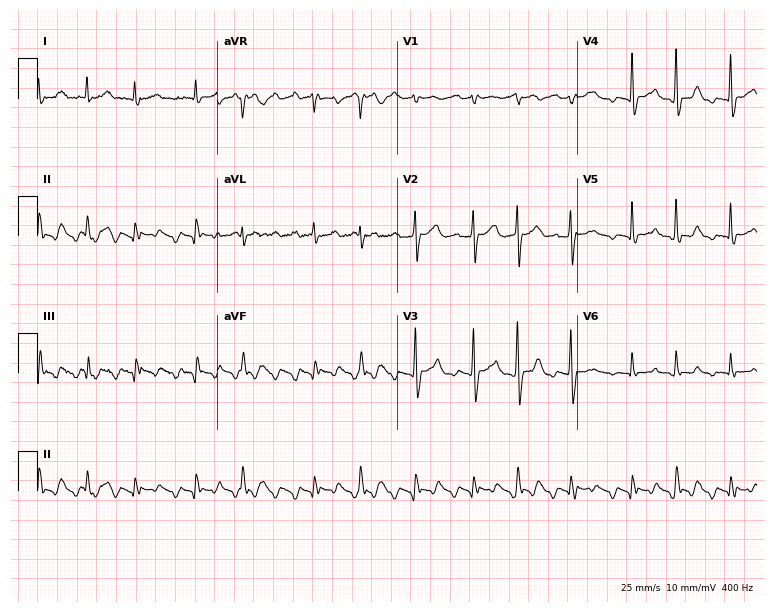
Resting 12-lead electrocardiogram. Patient: a 76-year-old male. The tracing shows sinus tachycardia (a sinus rate of 100 beats per minute or more).